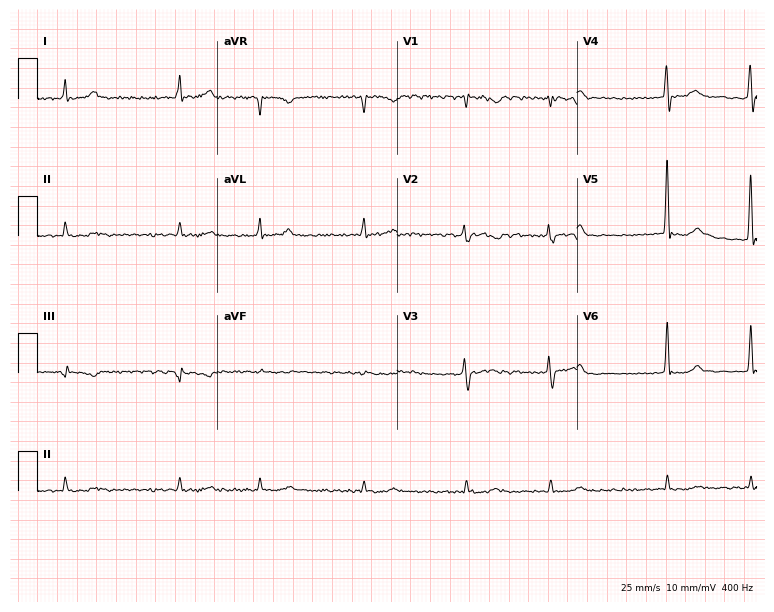
ECG — a 69-year-old man. Findings include atrial fibrillation.